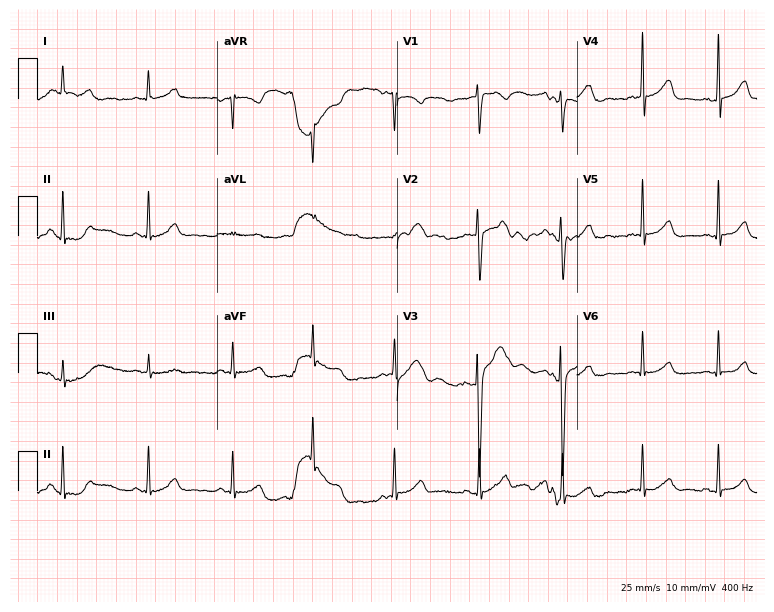
12-lead ECG (7.3-second recording at 400 Hz) from a female patient, 23 years old. Screened for six findings — first-degree AV block, right bundle branch block (RBBB), left bundle branch block (LBBB), sinus bradycardia, atrial fibrillation (AF), sinus tachycardia — none is recorded.